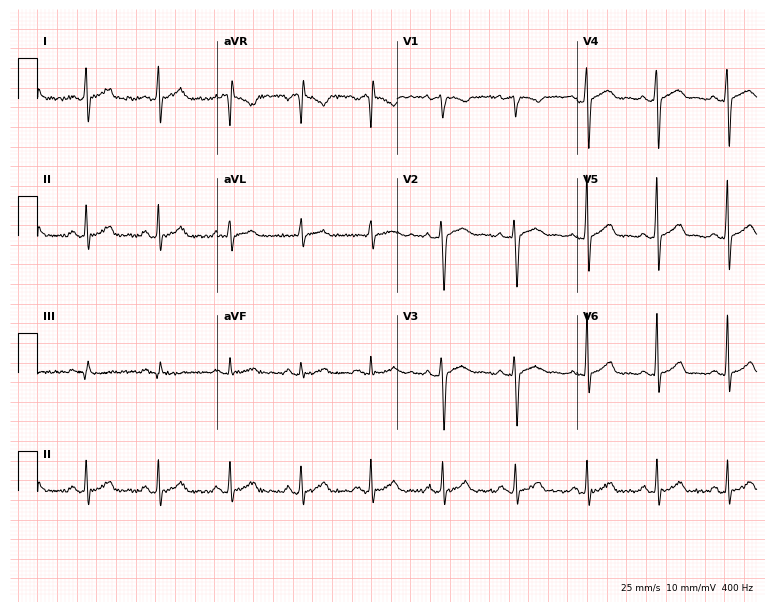
Resting 12-lead electrocardiogram (7.3-second recording at 400 Hz). Patient: a 19-year-old female. None of these six findings is recorded: first-degree AV block, right bundle branch block, left bundle branch block, sinus bradycardia, atrial fibrillation, sinus tachycardia. Other findings, if any, are not listed.